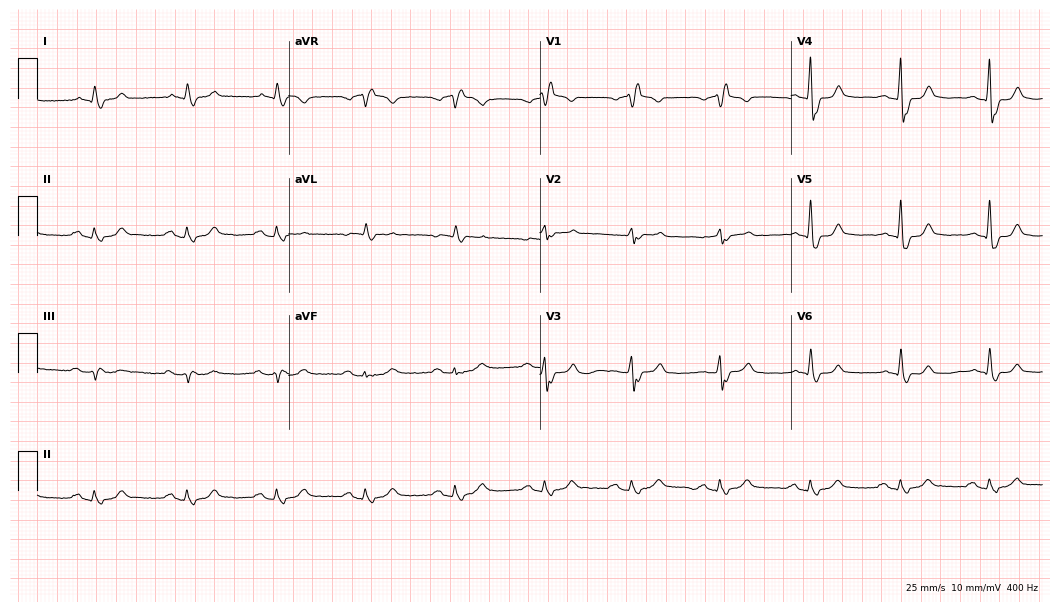
12-lead ECG (10.2-second recording at 400 Hz) from a man, 69 years old. Screened for six findings — first-degree AV block, right bundle branch block, left bundle branch block, sinus bradycardia, atrial fibrillation, sinus tachycardia — none is recorded.